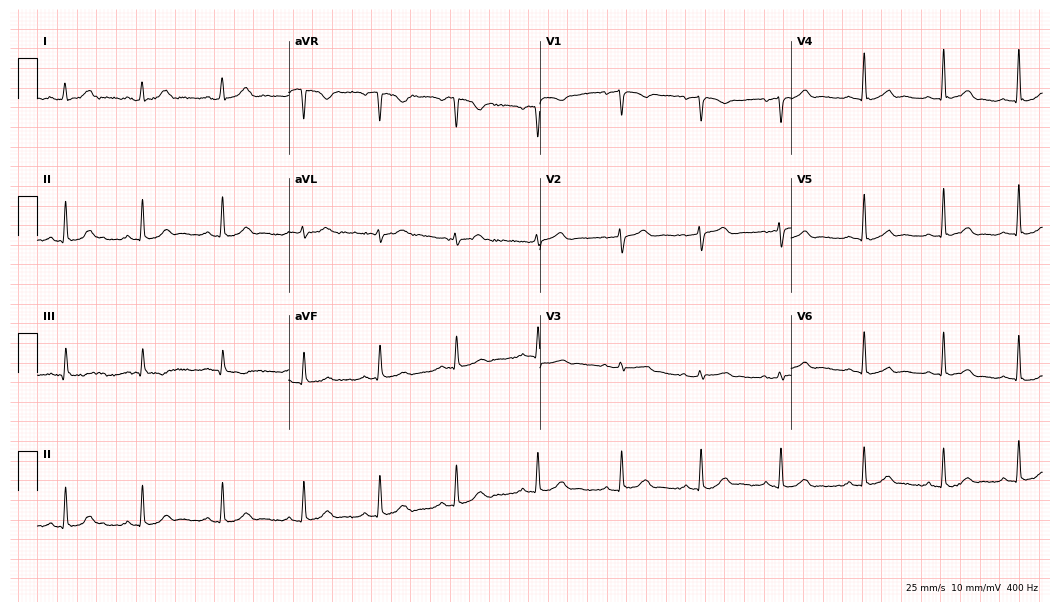
12-lead ECG from a 20-year-old female patient. Labelled as a normal ECG.